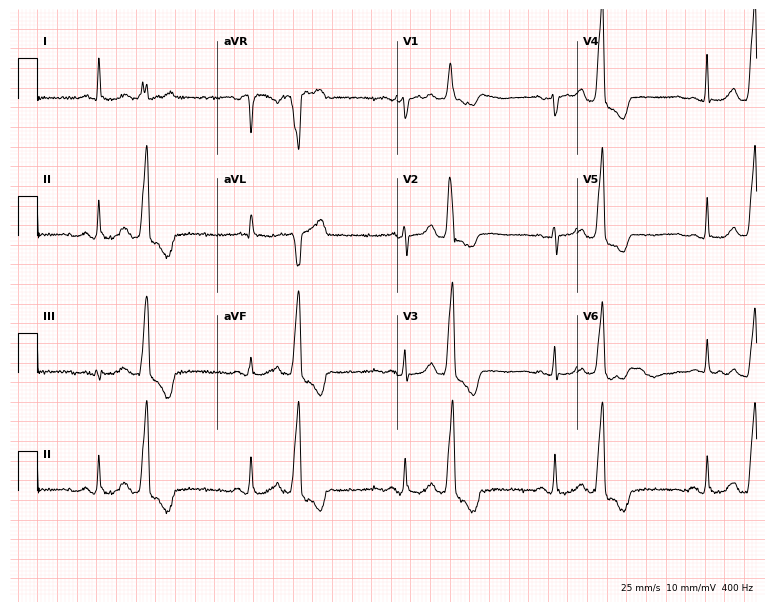
Electrocardiogram (7.3-second recording at 400 Hz), an 83-year-old woman. Of the six screened findings (first-degree AV block, right bundle branch block (RBBB), left bundle branch block (LBBB), sinus bradycardia, atrial fibrillation (AF), sinus tachycardia), none is recorded.